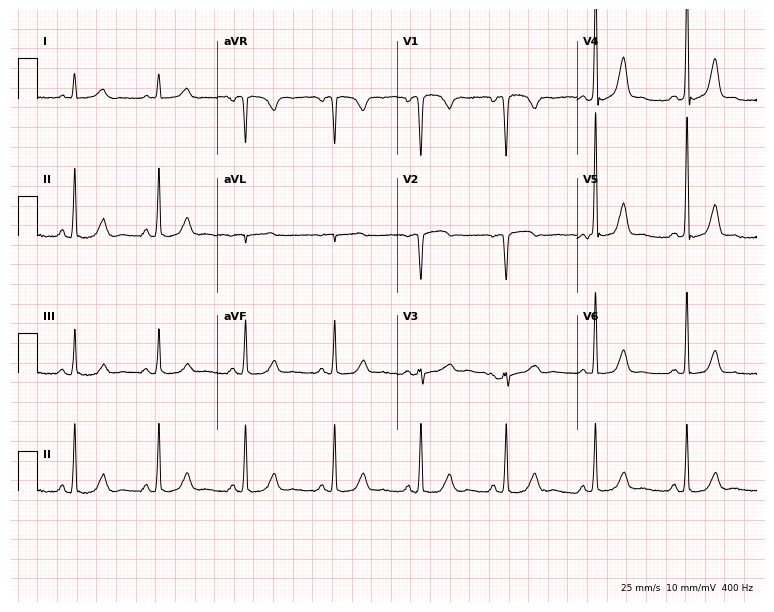
Standard 12-lead ECG recorded from a female patient, 46 years old (7.3-second recording at 400 Hz). None of these six findings is recorded: first-degree AV block, right bundle branch block, left bundle branch block, sinus bradycardia, atrial fibrillation, sinus tachycardia.